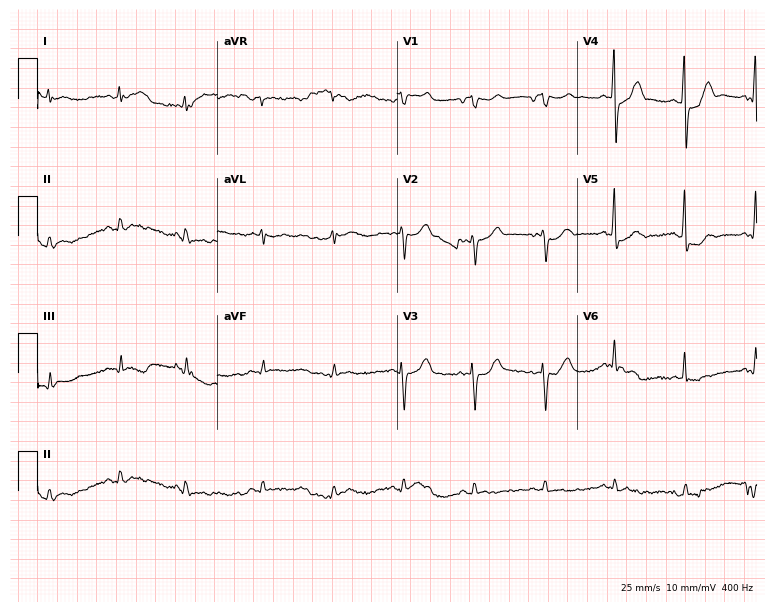
12-lead ECG (7.3-second recording at 400 Hz) from a male patient, 68 years old. Screened for six findings — first-degree AV block, right bundle branch block, left bundle branch block, sinus bradycardia, atrial fibrillation, sinus tachycardia — none is recorded.